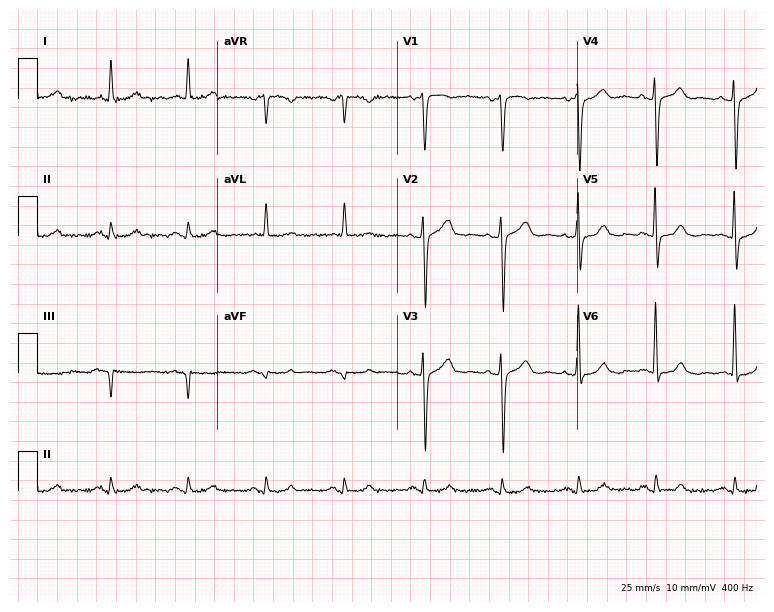
Resting 12-lead electrocardiogram (7.3-second recording at 400 Hz). Patient: a male, 81 years old. Read as a normal ECG.